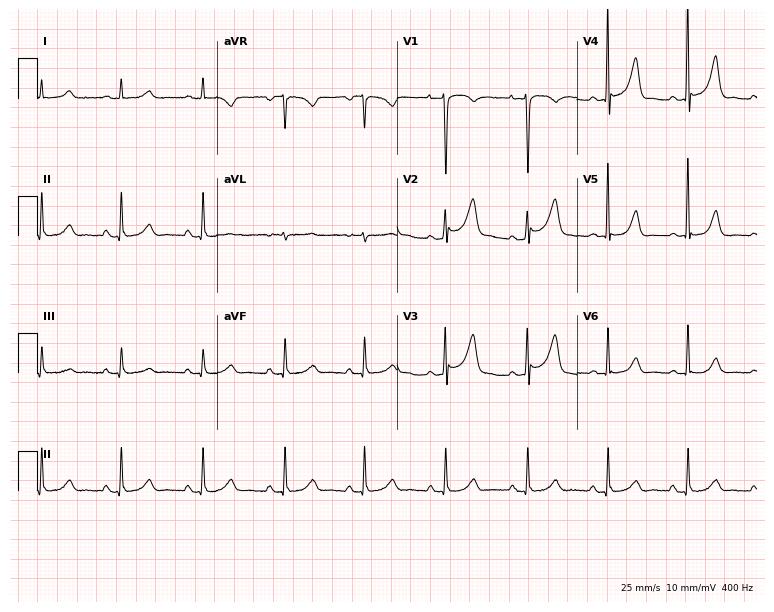
12-lead ECG from a 58-year-old woman. Labelled as a normal ECG.